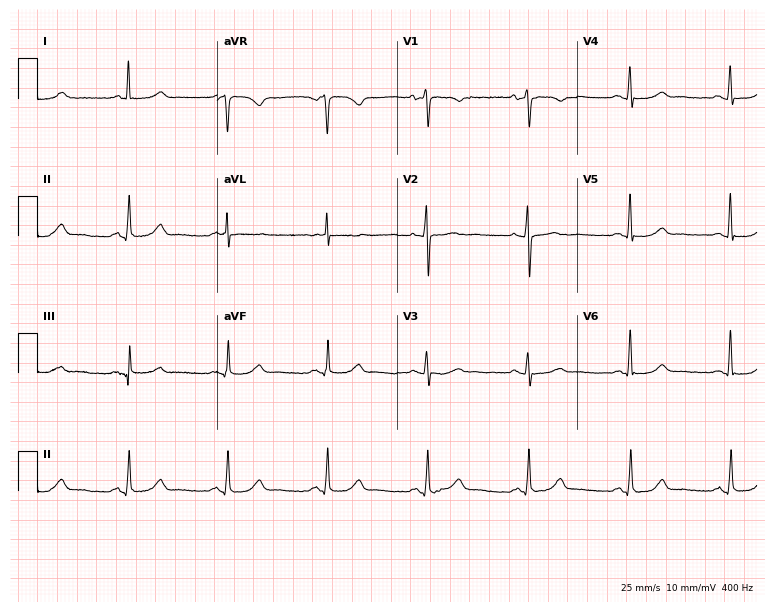
12-lead ECG from a woman, 71 years old (7.3-second recording at 400 Hz). Recorded interpretation: within normal limits.